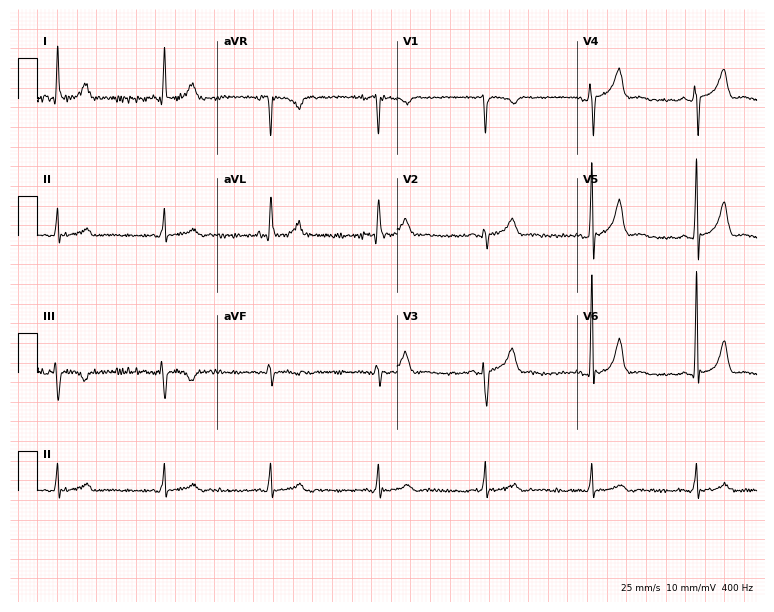
Standard 12-lead ECG recorded from a man, 45 years old. None of these six findings is recorded: first-degree AV block, right bundle branch block, left bundle branch block, sinus bradycardia, atrial fibrillation, sinus tachycardia. Only these six findings were labelled.